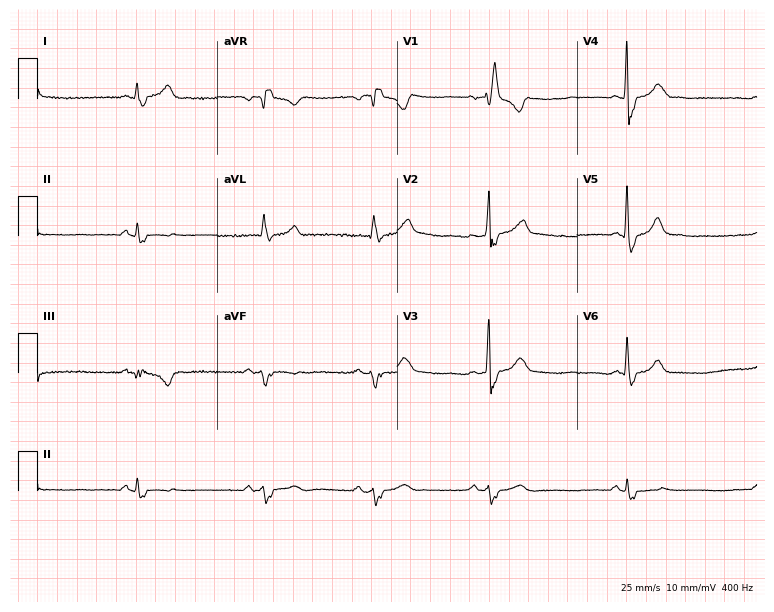
Electrocardiogram (7.3-second recording at 400 Hz), a male patient, 60 years old. Interpretation includes right bundle branch block (RBBB), sinus bradycardia (a sinus rate of 50 beats per minute or less).